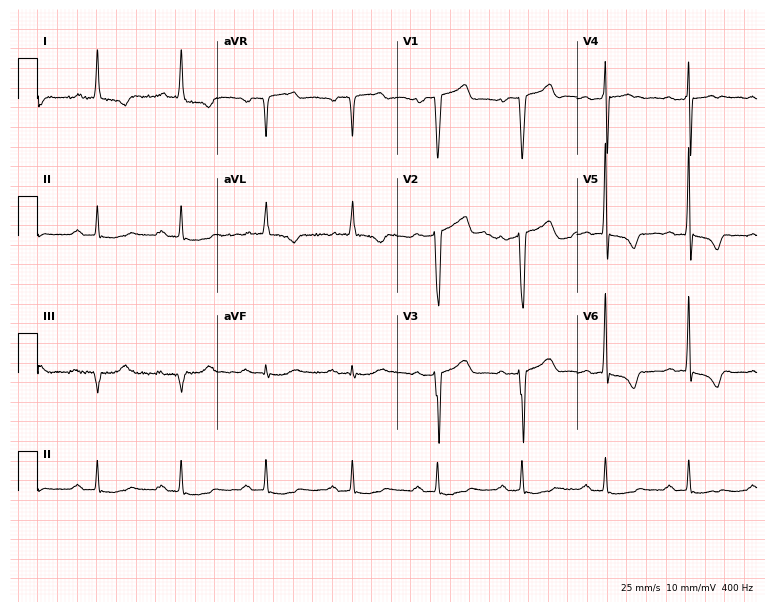
12-lead ECG from a man, 80 years old (7.3-second recording at 400 Hz). No first-degree AV block, right bundle branch block, left bundle branch block, sinus bradycardia, atrial fibrillation or sinus tachycardia recorded for this tracing. Other findings, if any, are not listed.